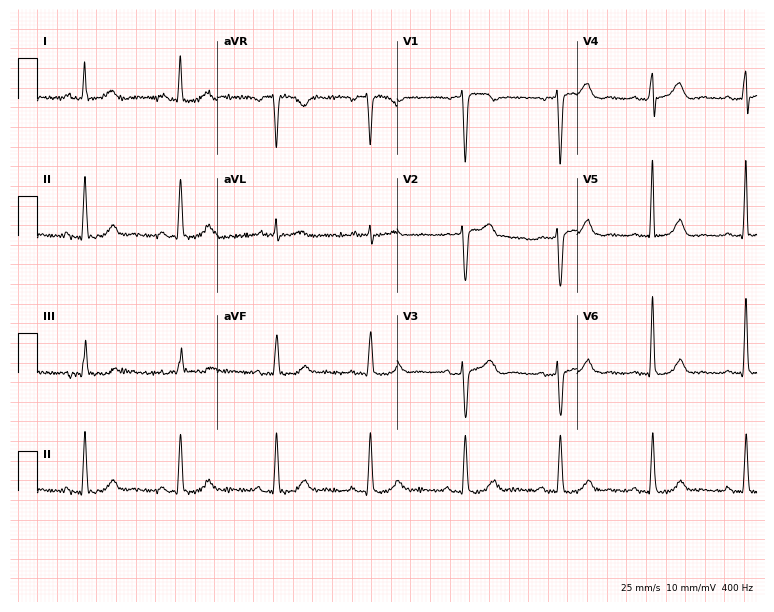
12-lead ECG (7.3-second recording at 400 Hz) from a 69-year-old female. Labelled as a normal ECG.